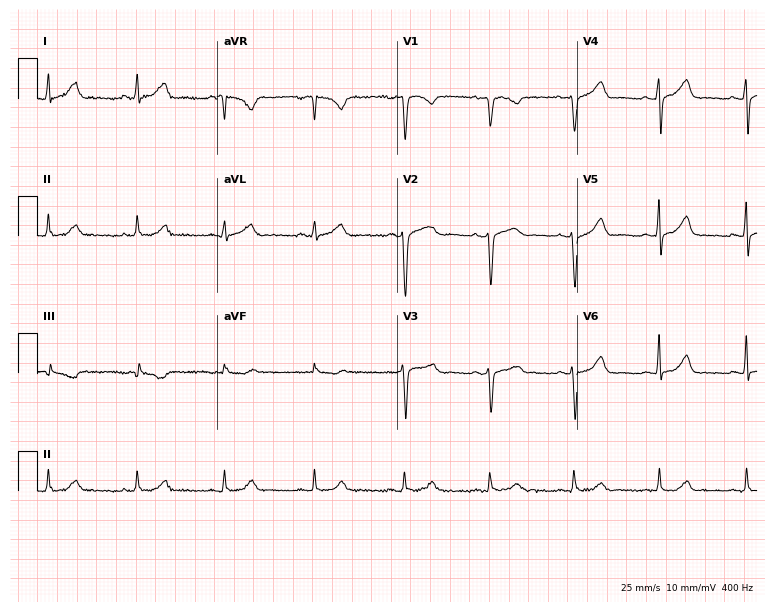
ECG — a 45-year-old female. Labelled as a normal ECG.